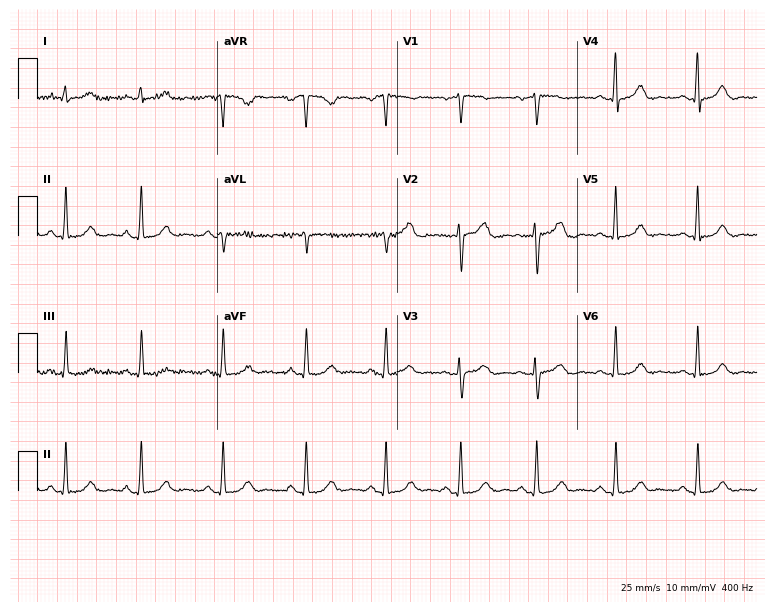
12-lead ECG from a woman, 36 years old (7.3-second recording at 400 Hz). Recorded interpretation: within normal limits.